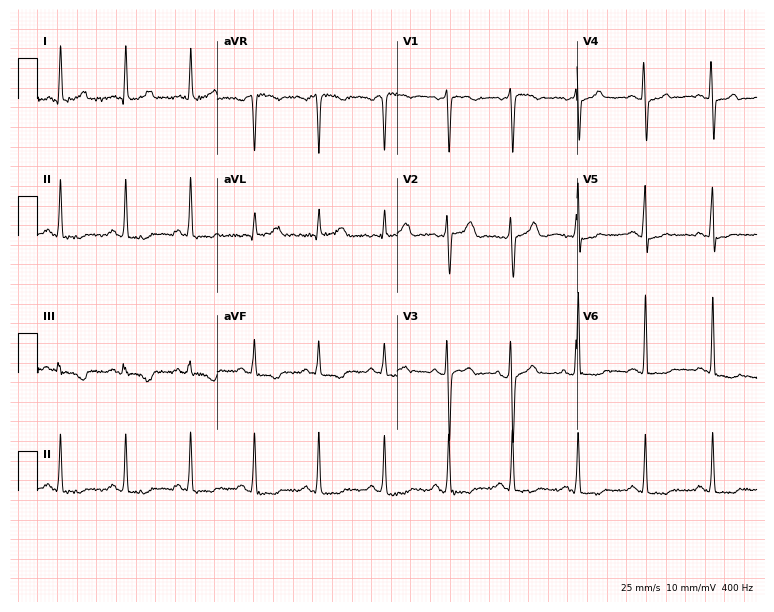
ECG — a 28-year-old woman. Screened for six findings — first-degree AV block, right bundle branch block, left bundle branch block, sinus bradycardia, atrial fibrillation, sinus tachycardia — none is recorded.